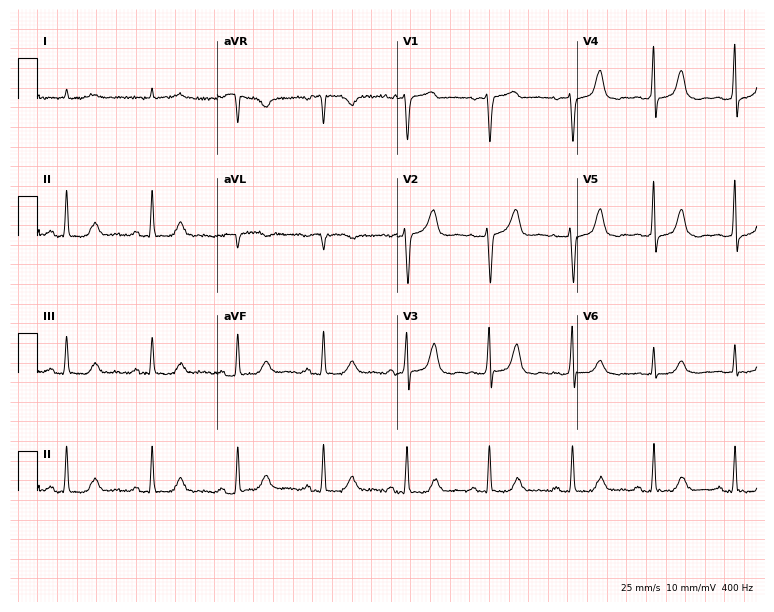
12-lead ECG from a male patient, 71 years old (7.3-second recording at 400 Hz). Recorded interpretation: within normal limits.